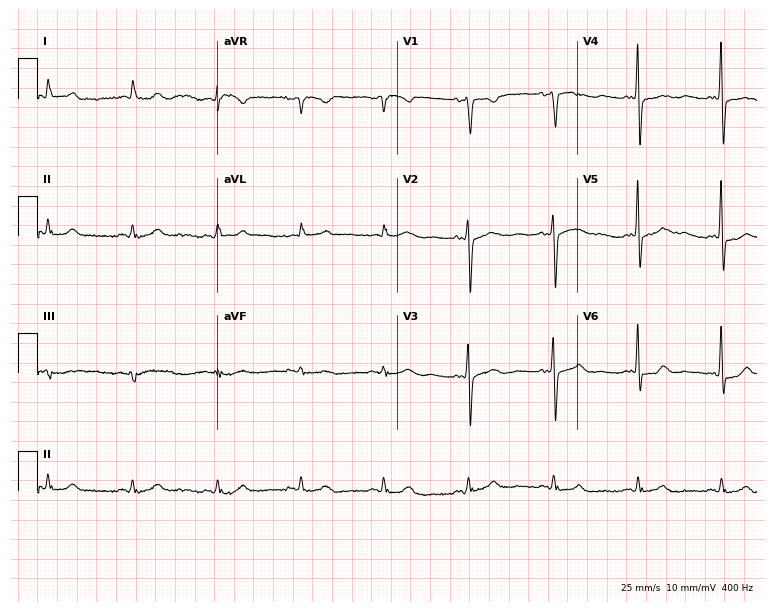
Standard 12-lead ECG recorded from a female, 74 years old. None of these six findings is recorded: first-degree AV block, right bundle branch block, left bundle branch block, sinus bradycardia, atrial fibrillation, sinus tachycardia.